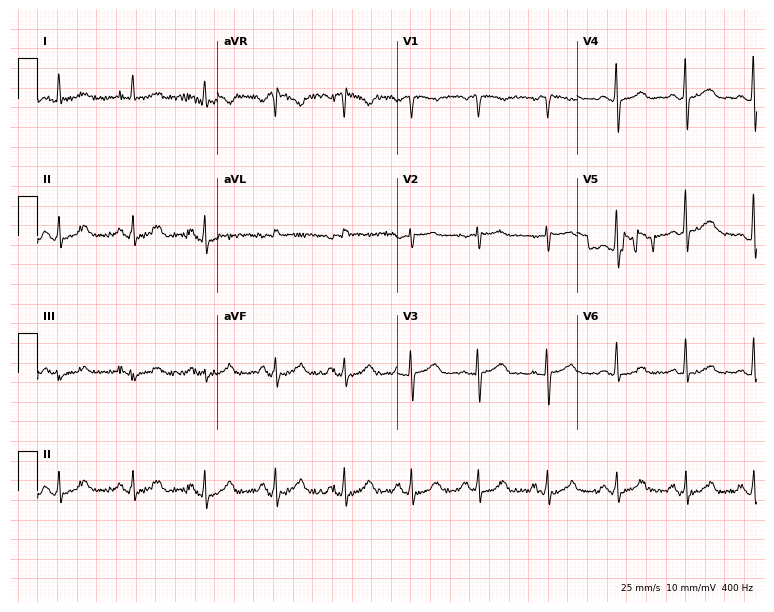
Standard 12-lead ECG recorded from a woman, 70 years old (7.3-second recording at 400 Hz). Read as a normal ECG.